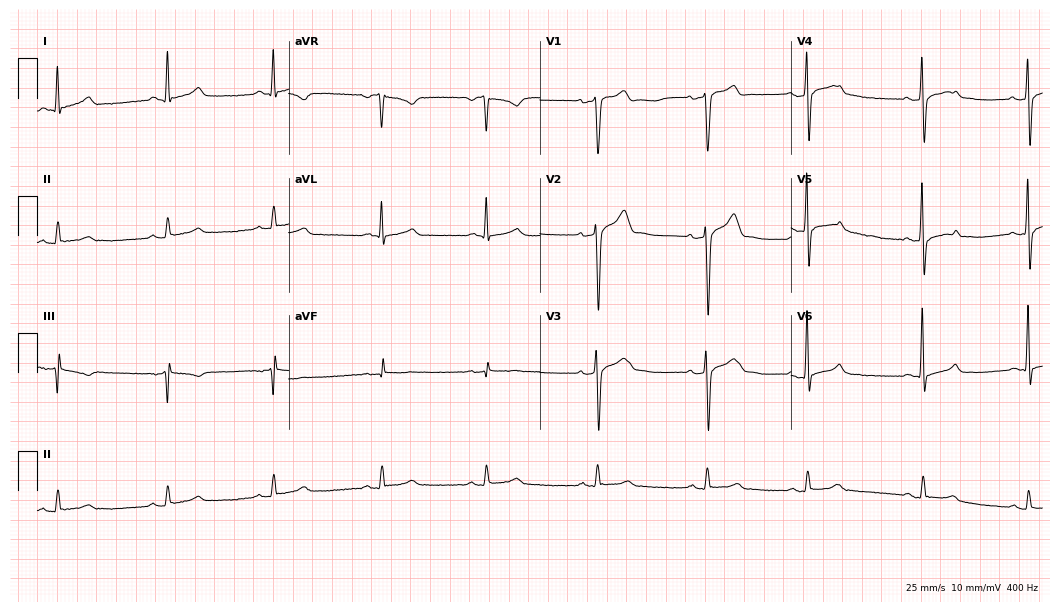
Electrocardiogram, a 44-year-old male patient. Overall reading on record: normal ECG.